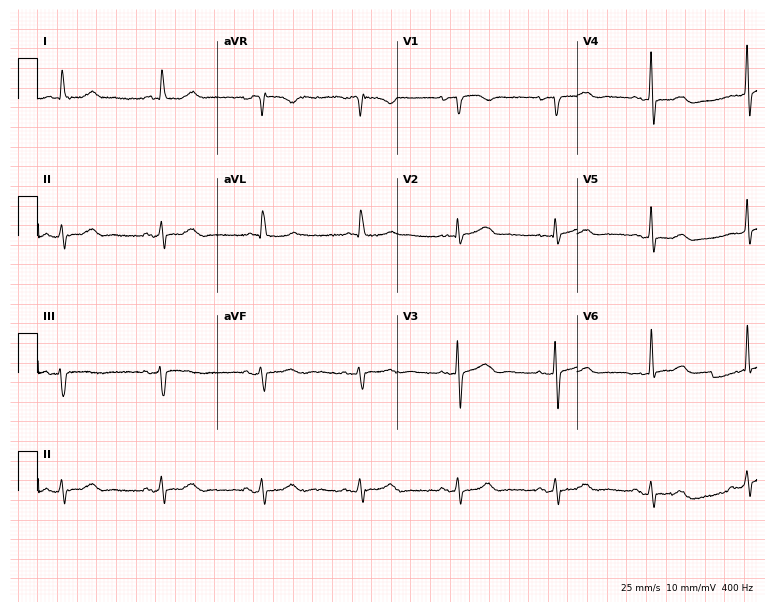
12-lead ECG (7.3-second recording at 400 Hz) from a female, 78 years old. Labelled as a normal ECG.